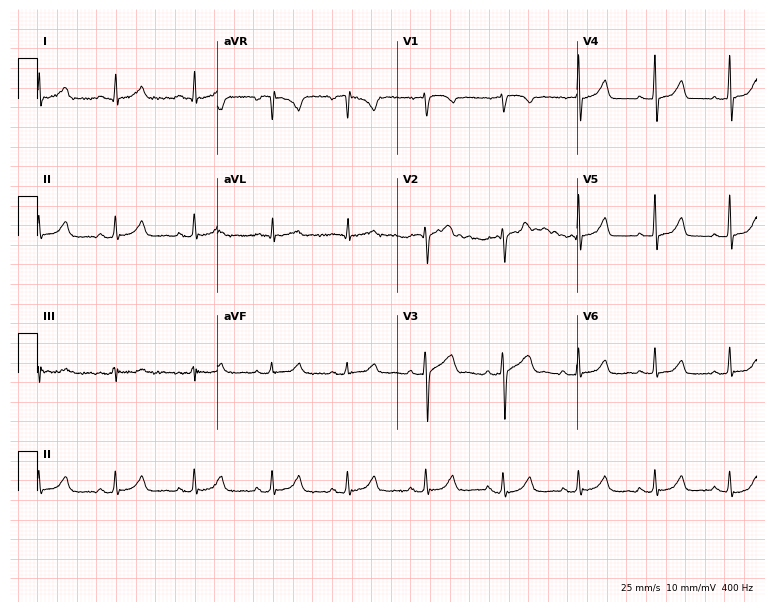
Electrocardiogram, a woman, 37 years old. Overall reading on record: normal ECG.